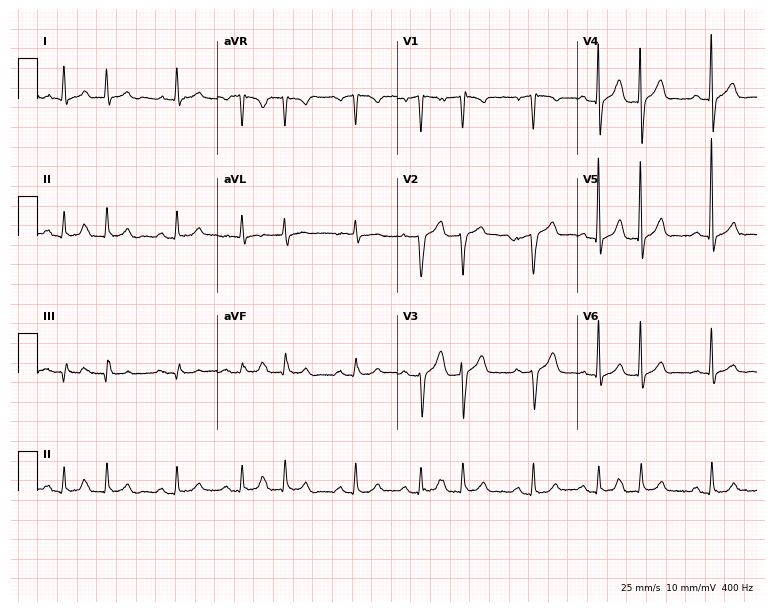
Electrocardiogram (7.3-second recording at 400 Hz), a man, 77 years old. Of the six screened findings (first-degree AV block, right bundle branch block, left bundle branch block, sinus bradycardia, atrial fibrillation, sinus tachycardia), none is recorded. Other findings, if any, are not listed.